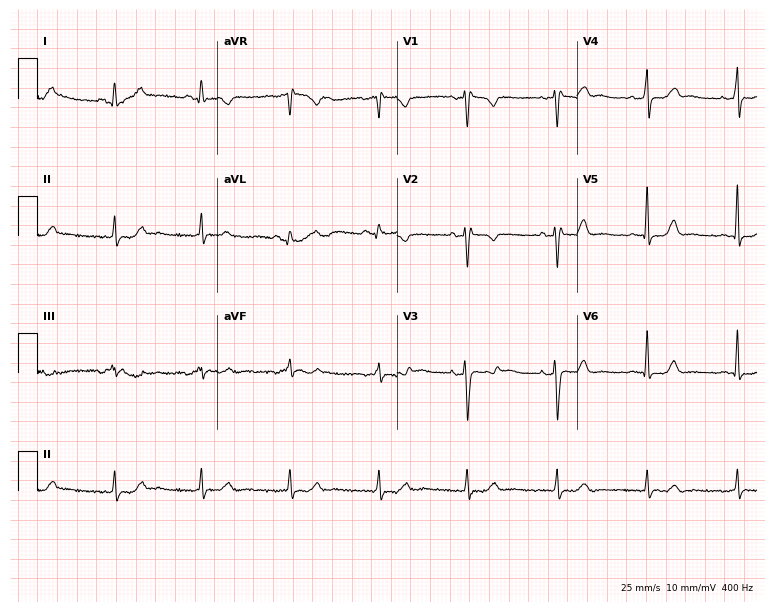
Standard 12-lead ECG recorded from a female patient, 36 years old (7.3-second recording at 400 Hz). None of these six findings is recorded: first-degree AV block, right bundle branch block, left bundle branch block, sinus bradycardia, atrial fibrillation, sinus tachycardia. Findings outside these six are not listed.